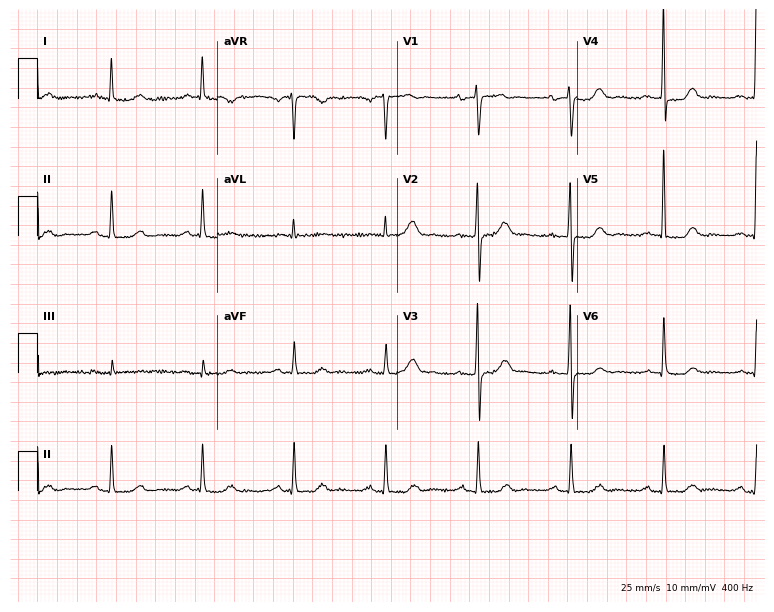
Standard 12-lead ECG recorded from a woman, 76 years old (7.3-second recording at 400 Hz). None of these six findings is recorded: first-degree AV block, right bundle branch block, left bundle branch block, sinus bradycardia, atrial fibrillation, sinus tachycardia. Findings outside these six are not listed.